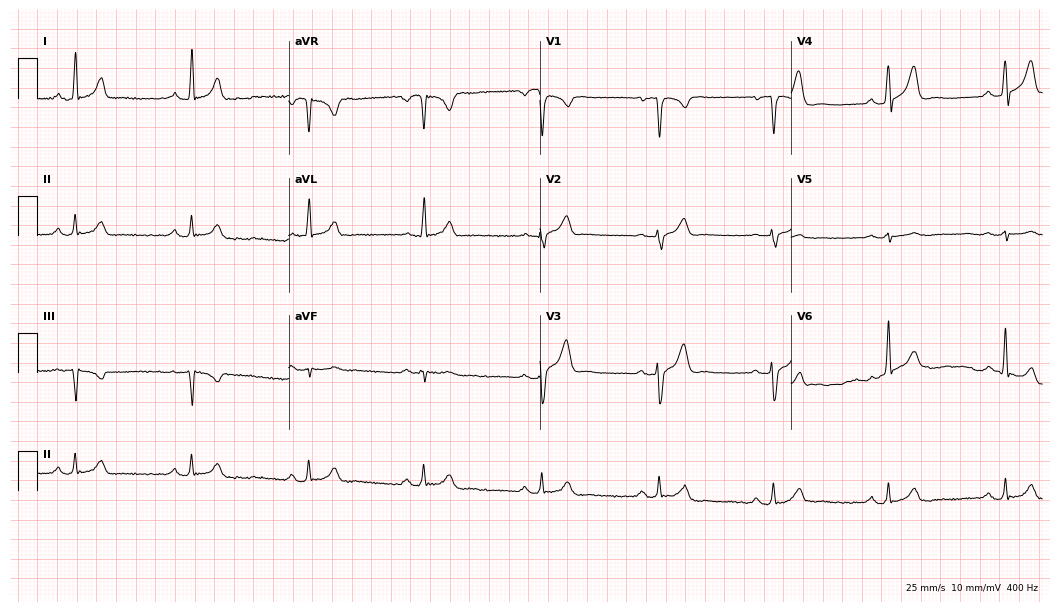
Standard 12-lead ECG recorded from a 47-year-old male. Read as a normal ECG.